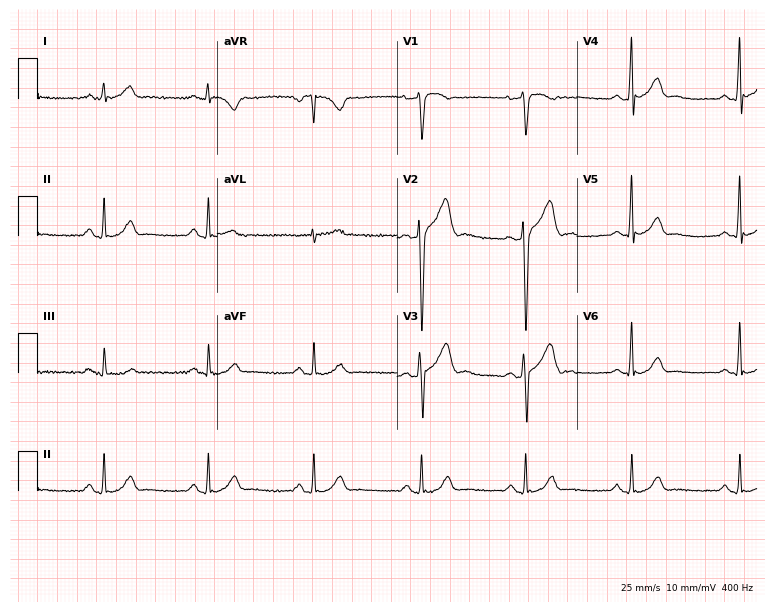
Electrocardiogram, a male patient, 38 years old. Overall reading on record: normal ECG.